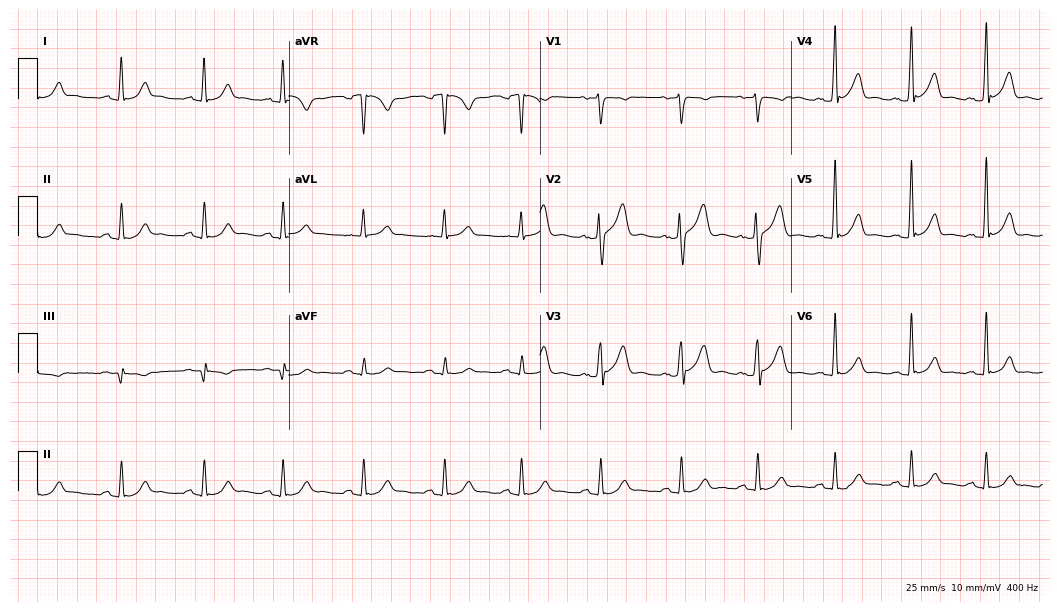
12-lead ECG from a male, 36 years old. Labelled as a normal ECG.